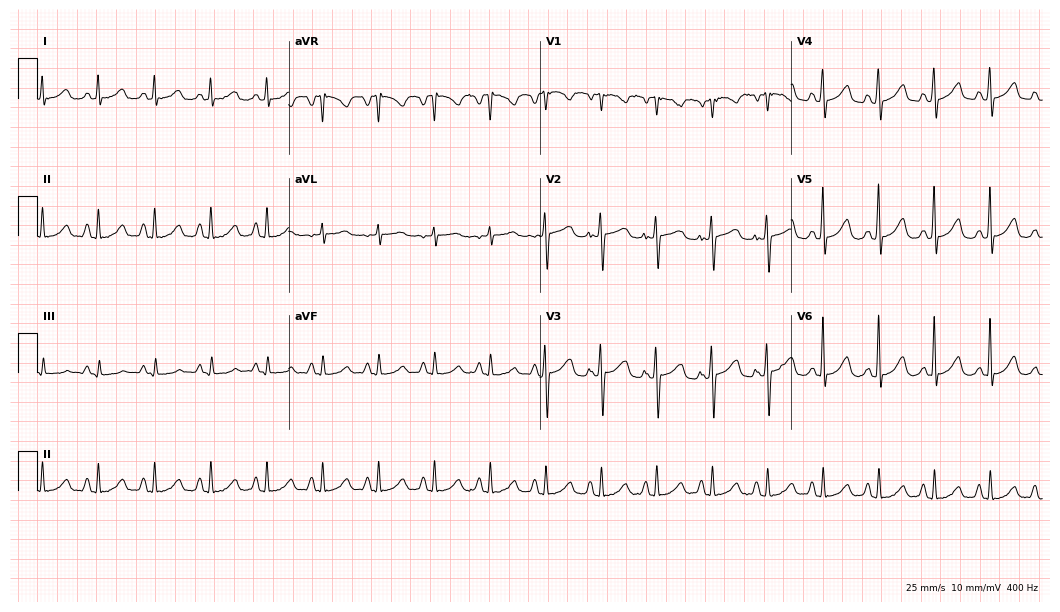
ECG — a female patient, 33 years old. Findings include sinus tachycardia (a sinus rate of 100 beats per minute or more).